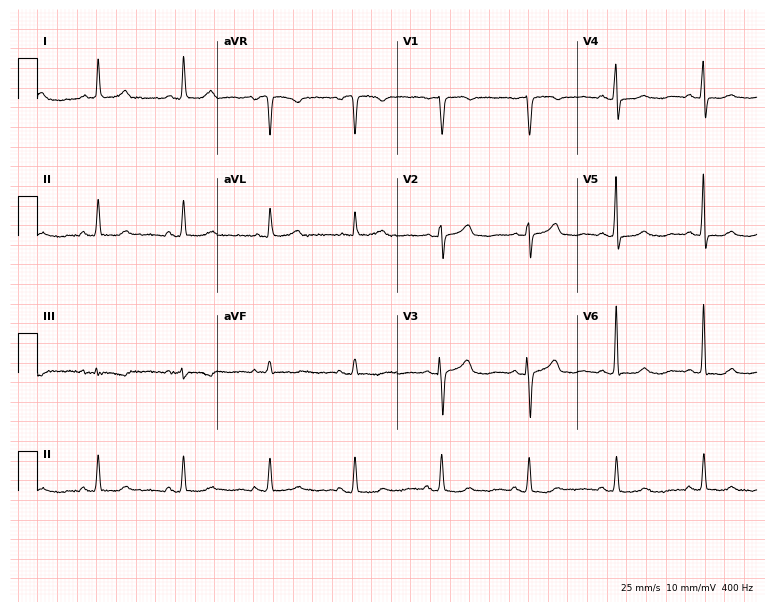
Resting 12-lead electrocardiogram (7.3-second recording at 400 Hz). Patient: a female, 79 years old. None of these six findings is recorded: first-degree AV block, right bundle branch block, left bundle branch block, sinus bradycardia, atrial fibrillation, sinus tachycardia. Only these six findings were labelled.